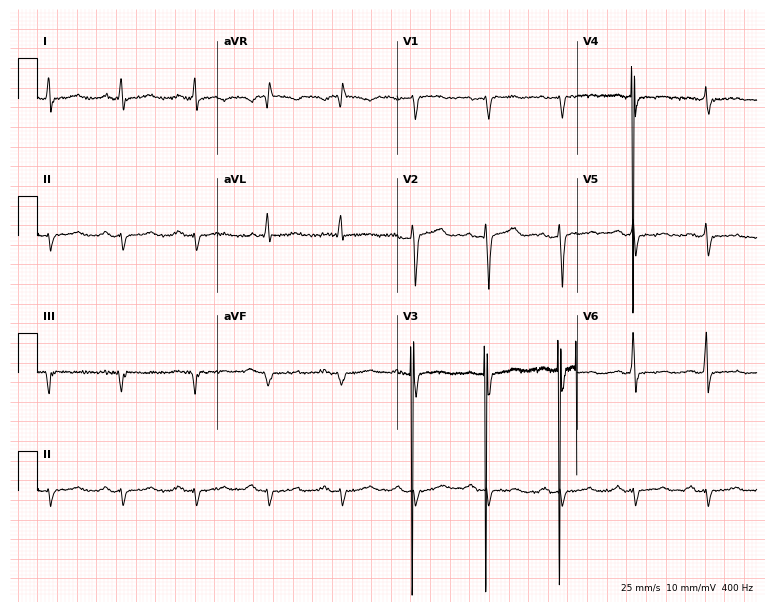
Electrocardiogram, a 59-year-old male patient. Of the six screened findings (first-degree AV block, right bundle branch block (RBBB), left bundle branch block (LBBB), sinus bradycardia, atrial fibrillation (AF), sinus tachycardia), none is recorded. Findings outside these six are not listed.